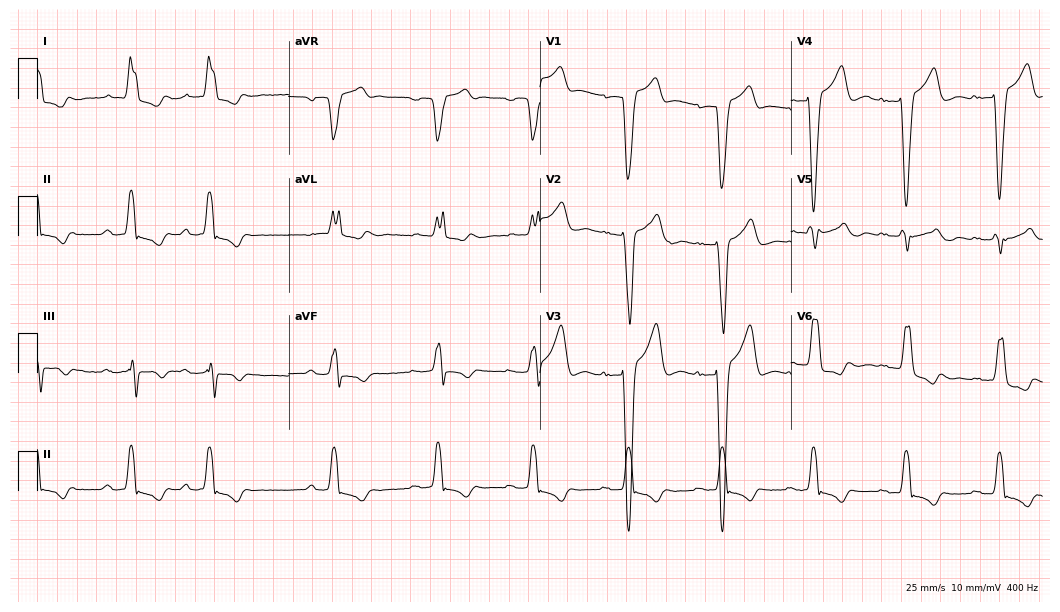
12-lead ECG from an 81-year-old male patient (10.2-second recording at 400 Hz). Shows first-degree AV block, left bundle branch block.